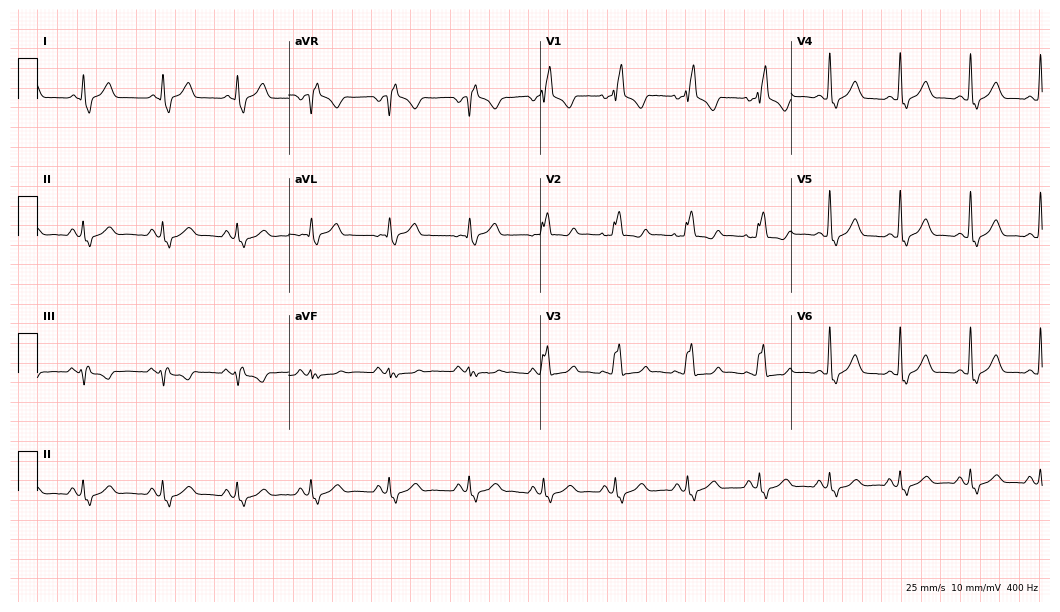
ECG — a female, 46 years old. Findings include right bundle branch block.